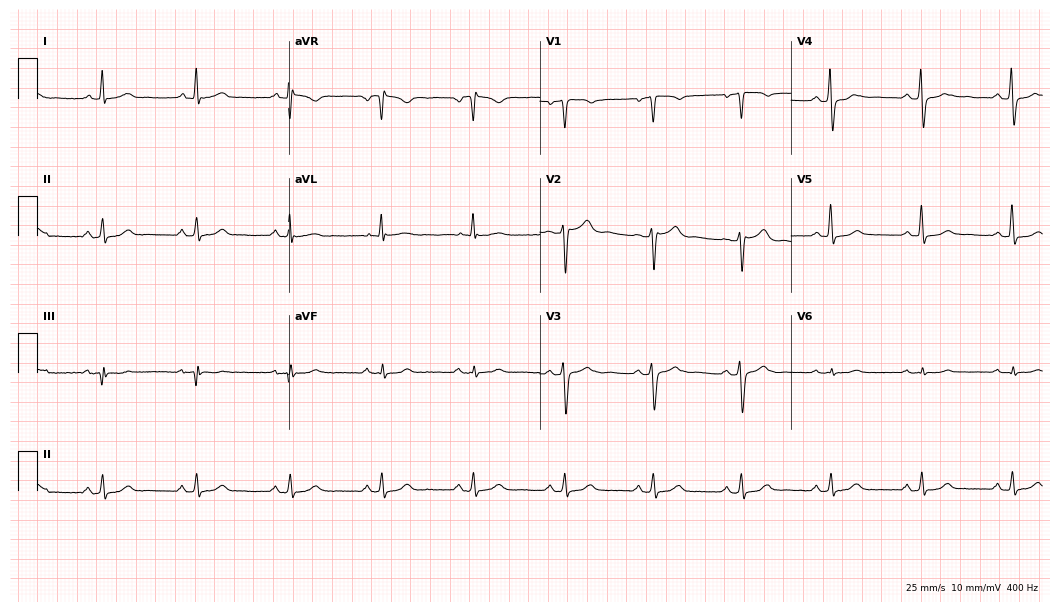
ECG (10.2-second recording at 400 Hz) — a female, 51 years old. Labelled as a normal ECG.